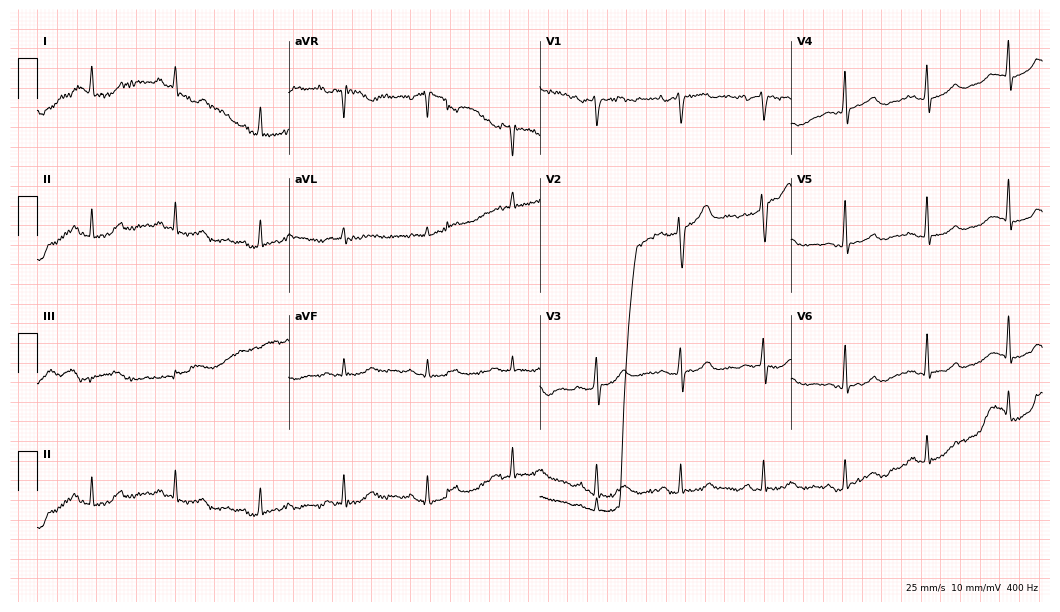
Standard 12-lead ECG recorded from a woman, 59 years old (10.2-second recording at 400 Hz). None of these six findings is recorded: first-degree AV block, right bundle branch block, left bundle branch block, sinus bradycardia, atrial fibrillation, sinus tachycardia. Only these six findings were labelled.